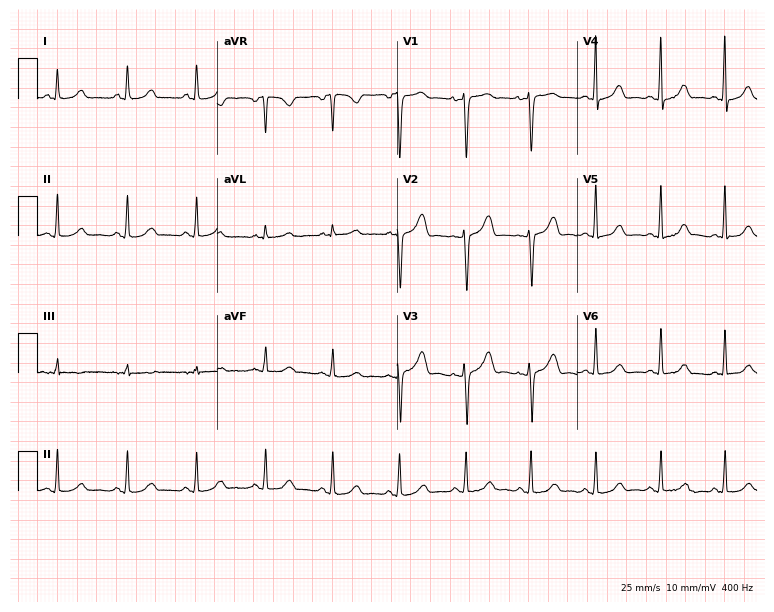
12-lead ECG from a female, 40 years old. Recorded interpretation: within normal limits.